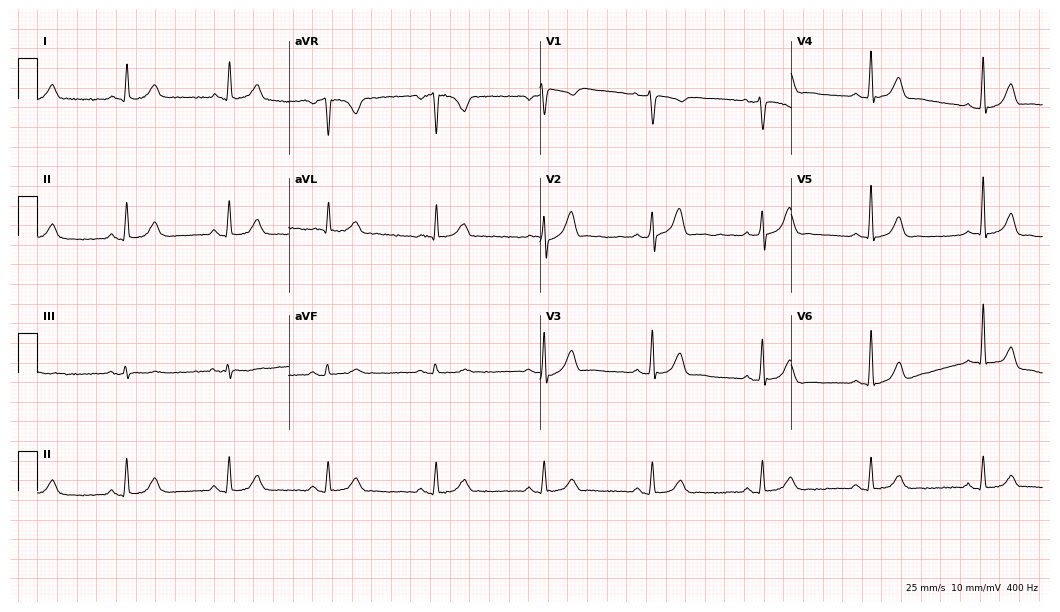
Electrocardiogram, a male, 45 years old. Overall reading on record: normal ECG.